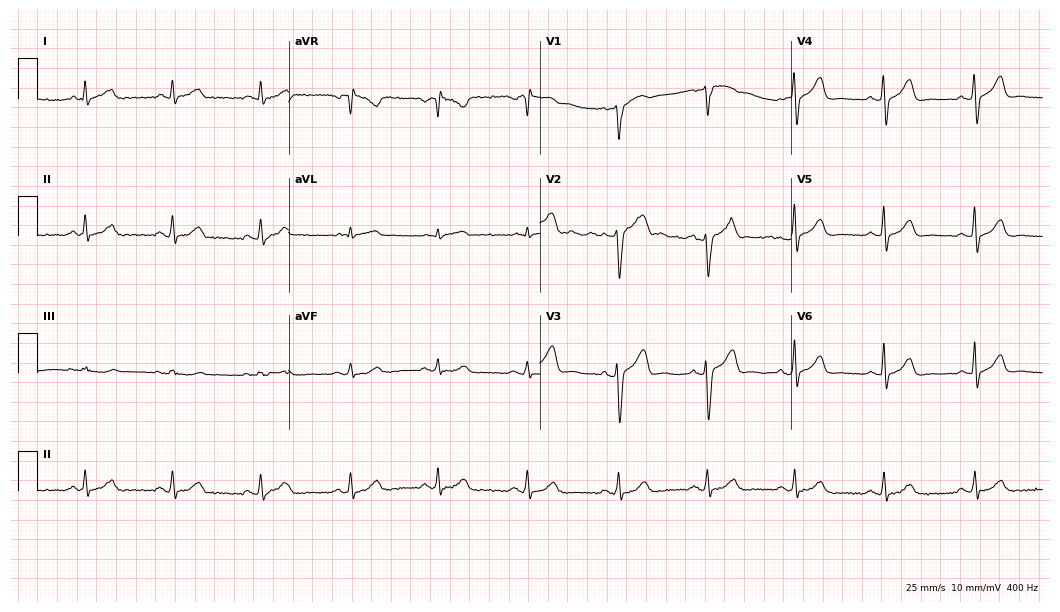
Electrocardiogram (10.2-second recording at 400 Hz), a man, 53 years old. Of the six screened findings (first-degree AV block, right bundle branch block, left bundle branch block, sinus bradycardia, atrial fibrillation, sinus tachycardia), none is recorded.